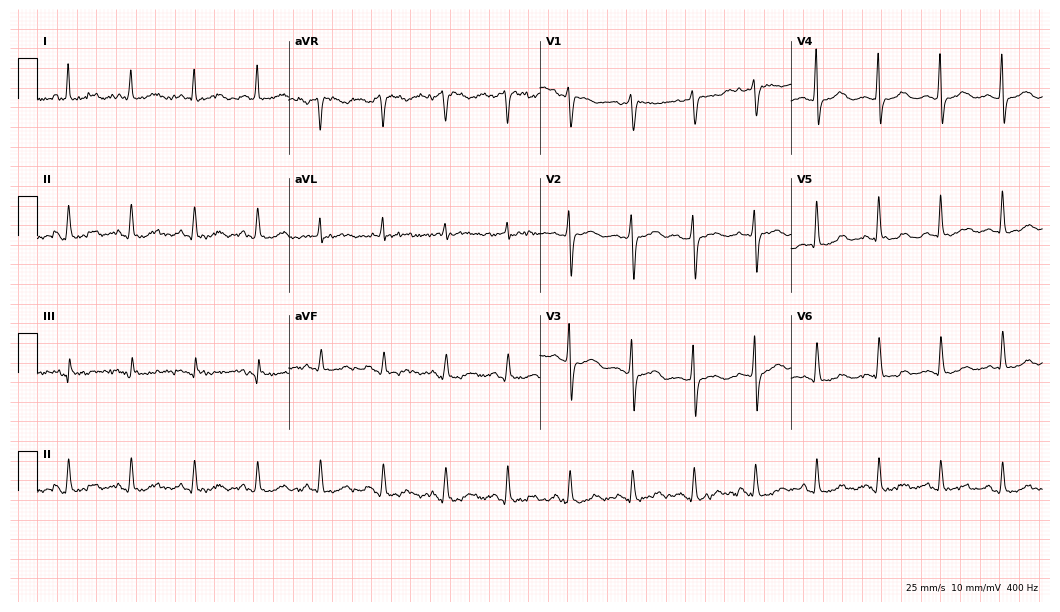
12-lead ECG from a 60-year-old female patient (10.2-second recording at 400 Hz). Recorded interpretation: within normal limits.